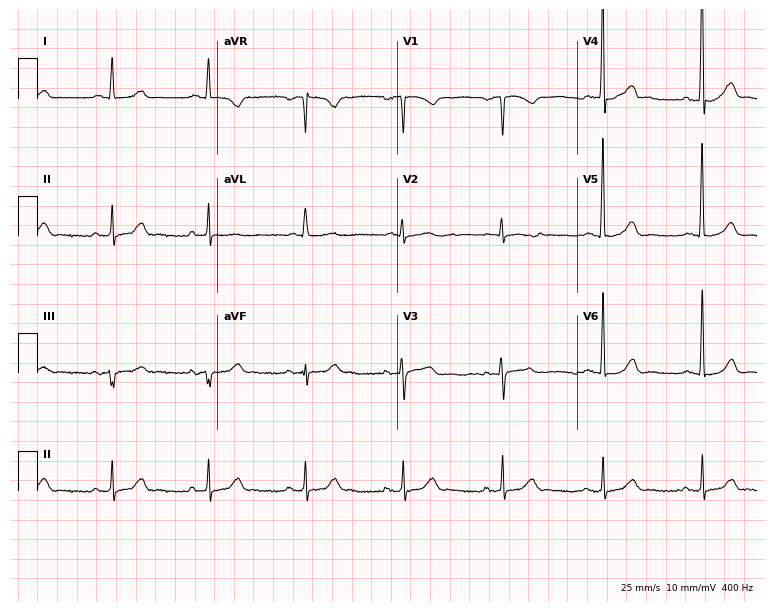
Electrocardiogram, a 74-year-old male. Of the six screened findings (first-degree AV block, right bundle branch block, left bundle branch block, sinus bradycardia, atrial fibrillation, sinus tachycardia), none is recorded.